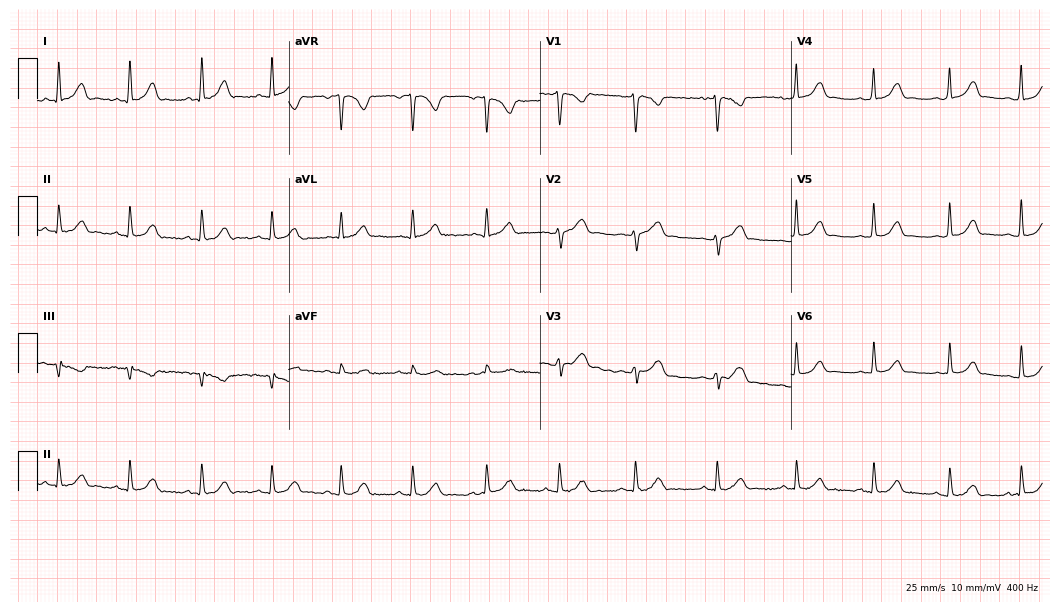
Standard 12-lead ECG recorded from a 34-year-old female patient (10.2-second recording at 400 Hz). Read as a normal ECG.